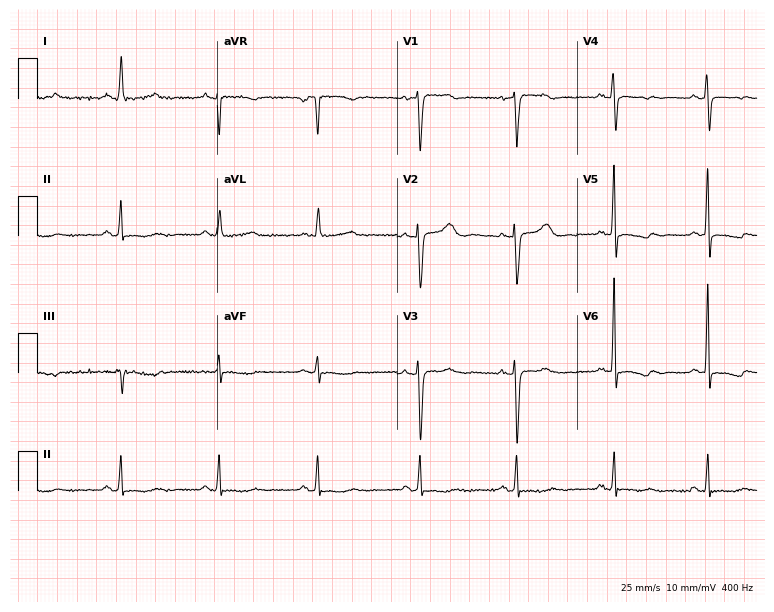
12-lead ECG from a 67-year-old female. No first-degree AV block, right bundle branch block, left bundle branch block, sinus bradycardia, atrial fibrillation or sinus tachycardia recorded for this tracing. Findings outside these six are not listed.